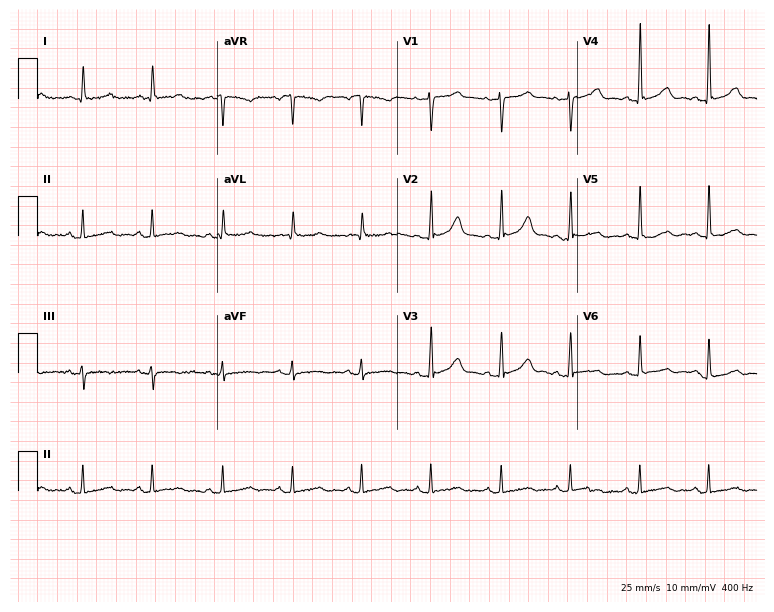
Electrocardiogram (7.3-second recording at 400 Hz), a 77-year-old female. Overall reading on record: normal ECG.